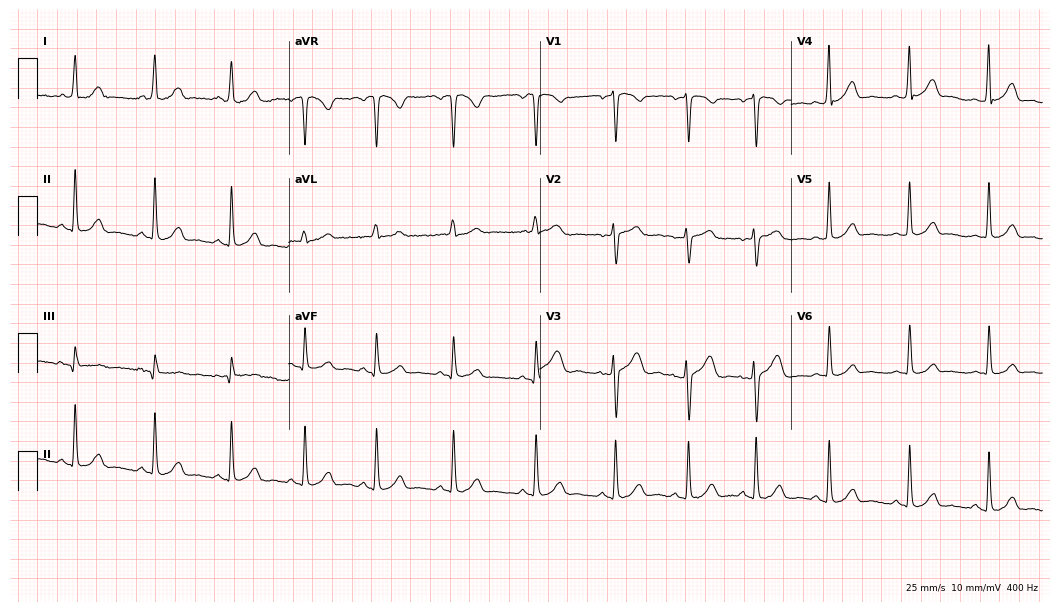
Electrocardiogram (10.2-second recording at 400 Hz), a 20-year-old female patient. Of the six screened findings (first-degree AV block, right bundle branch block, left bundle branch block, sinus bradycardia, atrial fibrillation, sinus tachycardia), none is recorded. Other findings, if any, are not listed.